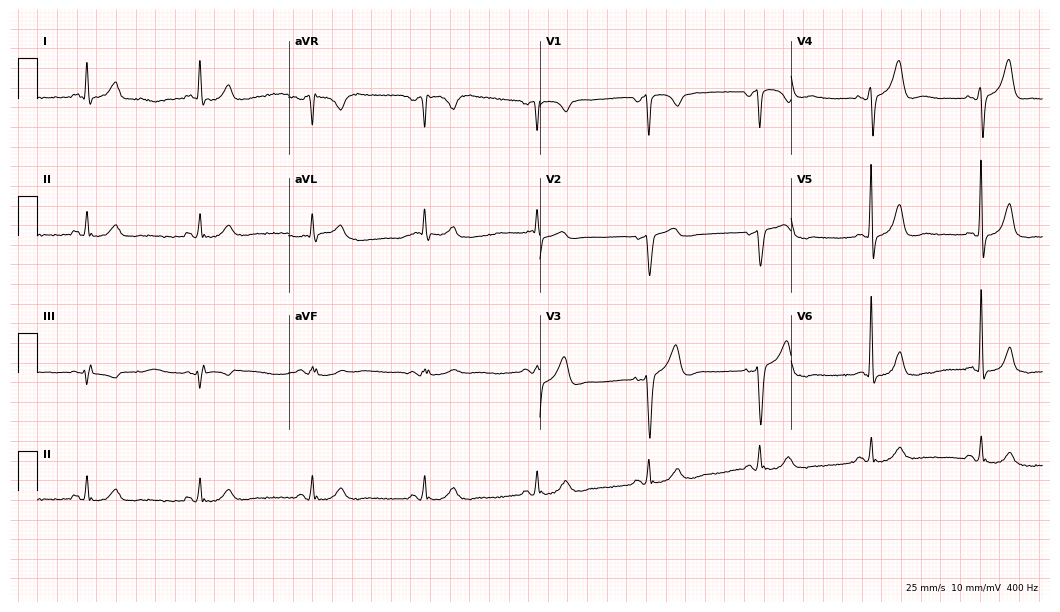
Resting 12-lead electrocardiogram. Patient: a 69-year-old male. Read as a normal ECG.